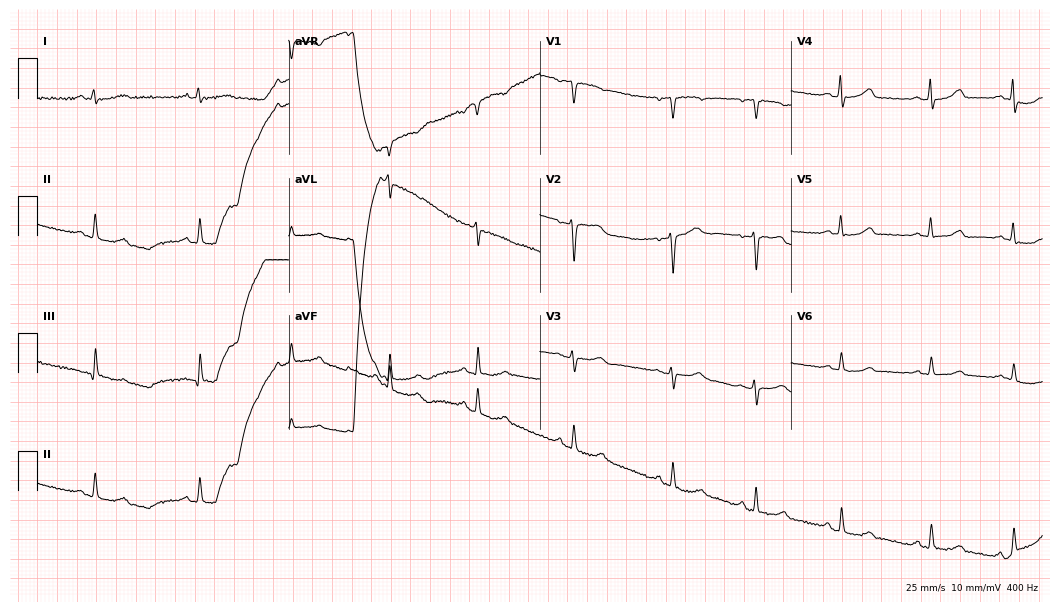
12-lead ECG (10.2-second recording at 400 Hz) from a female patient, 42 years old. Labelled as a normal ECG.